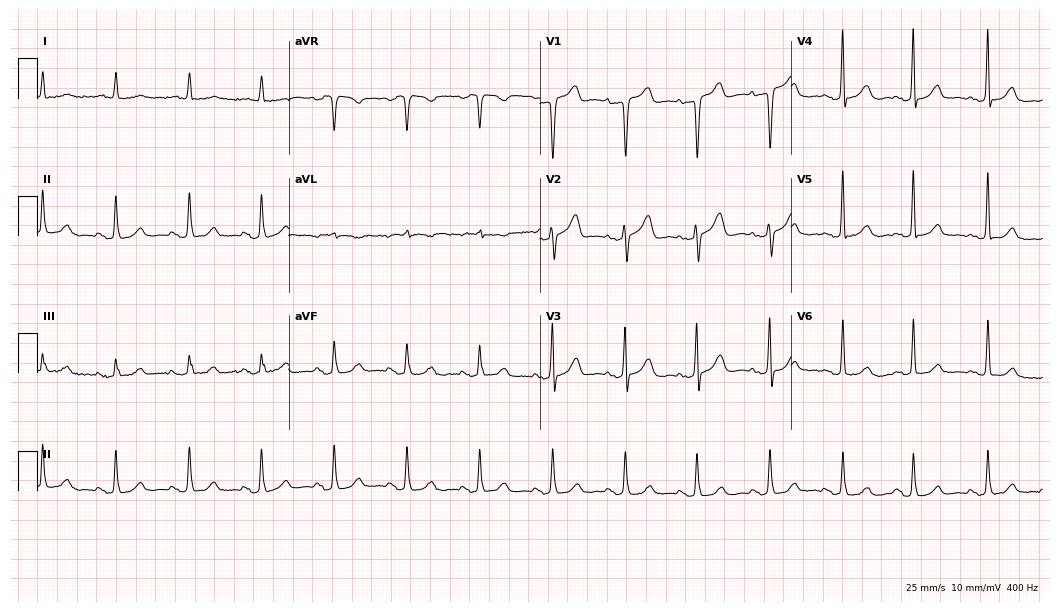
ECG (10.2-second recording at 400 Hz) — a female, 80 years old. Labelled as a normal ECG.